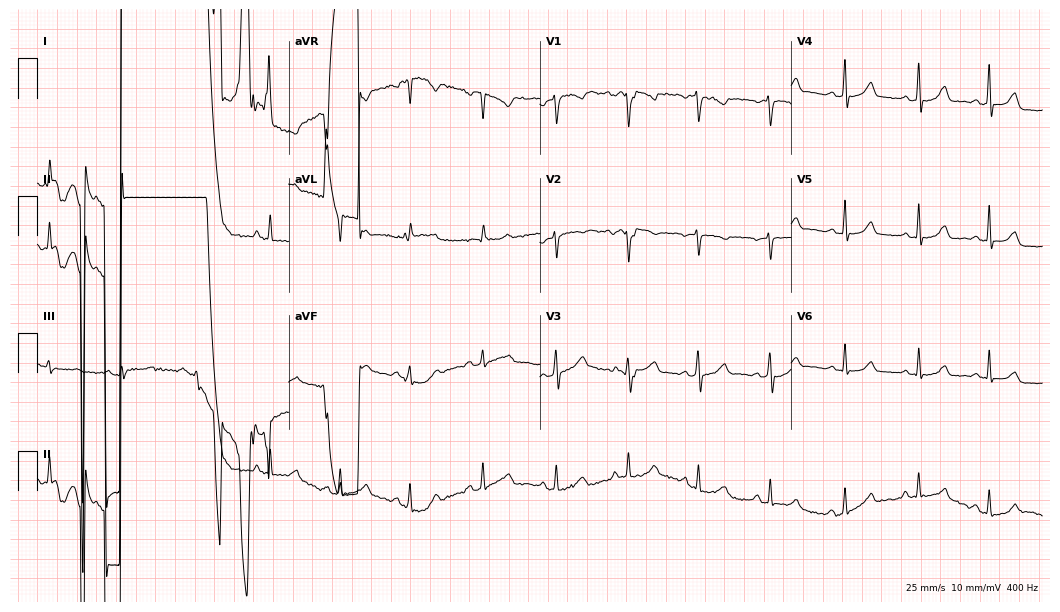
Standard 12-lead ECG recorded from a 22-year-old woman. Read as a normal ECG.